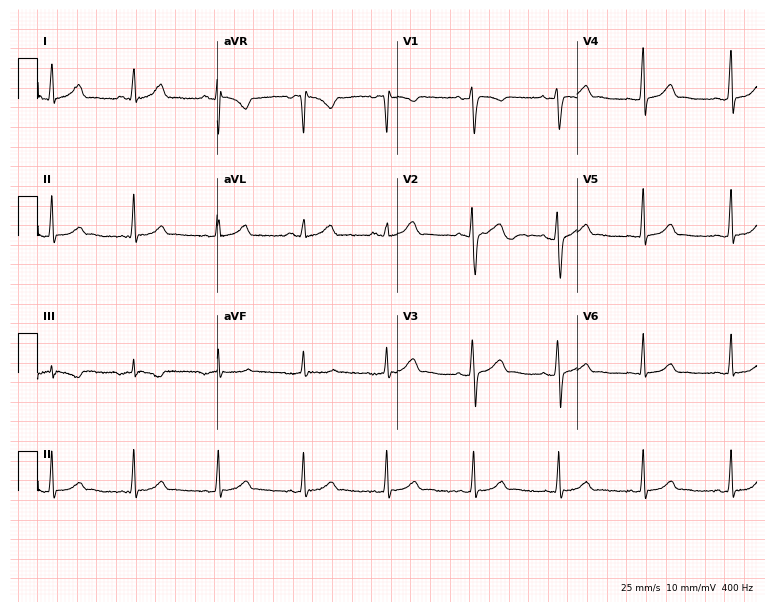
12-lead ECG from a woman, 32 years old. No first-degree AV block, right bundle branch block (RBBB), left bundle branch block (LBBB), sinus bradycardia, atrial fibrillation (AF) or sinus tachycardia recorded for this tracing. Only these six findings were labelled.